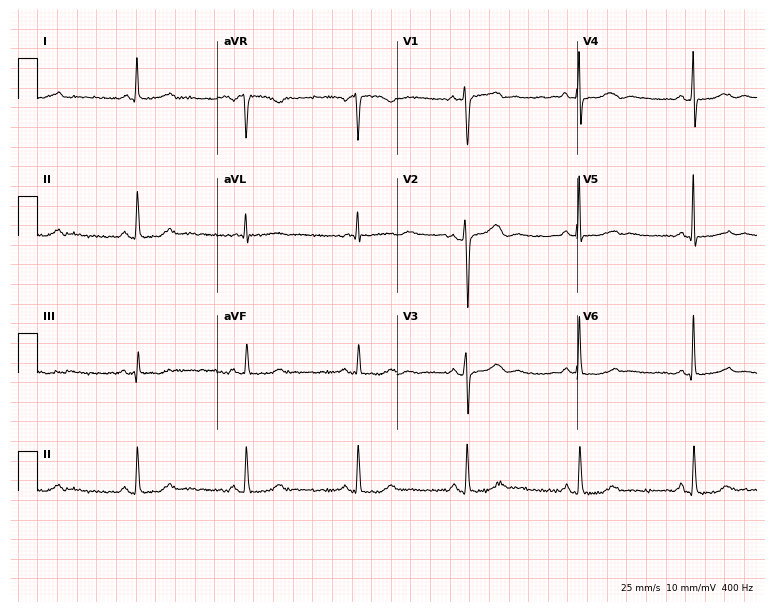
Standard 12-lead ECG recorded from a 50-year-old female (7.3-second recording at 400 Hz). Read as a normal ECG.